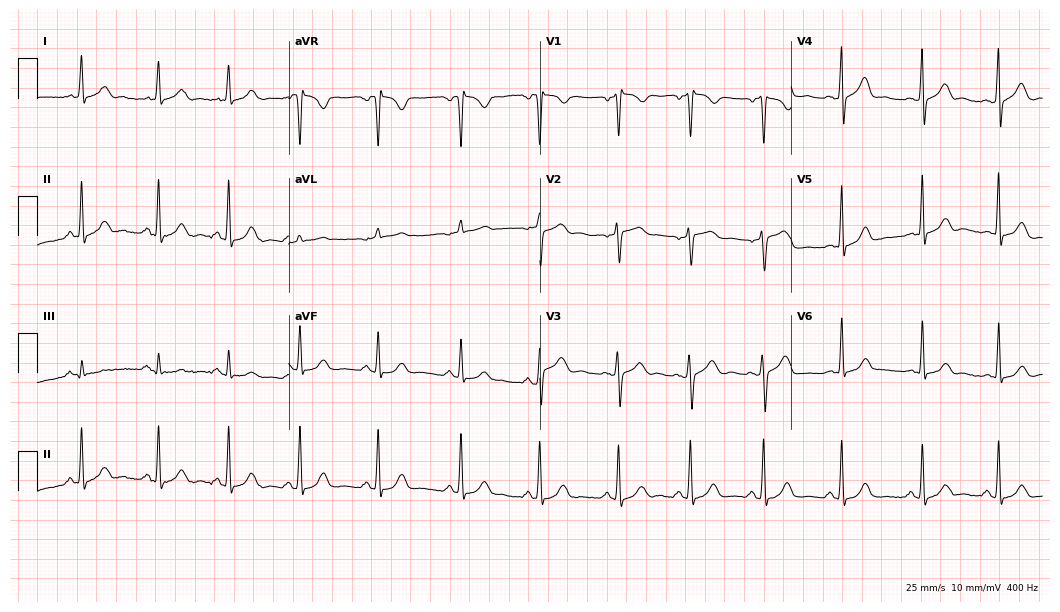
12-lead ECG from a female patient, 37 years old. Recorded interpretation: within normal limits.